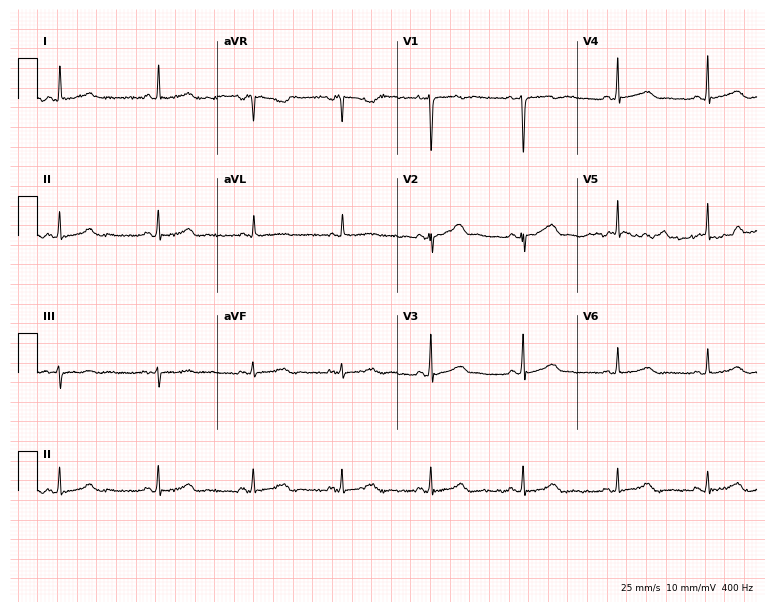
Electrocardiogram (7.3-second recording at 400 Hz), a 45-year-old female patient. Overall reading on record: normal ECG.